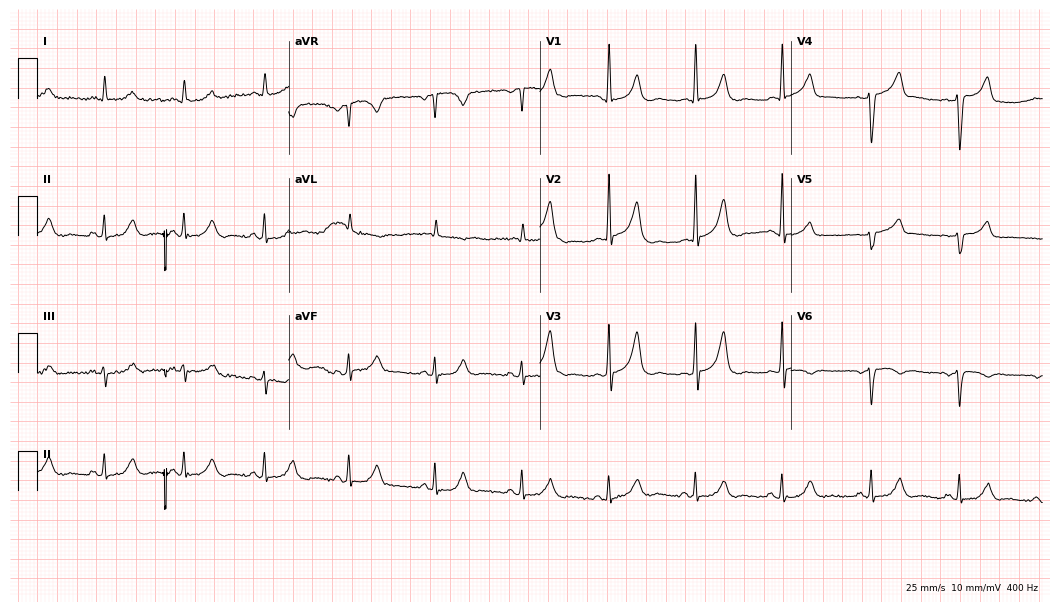
12-lead ECG from an 82-year-old male. No first-degree AV block, right bundle branch block, left bundle branch block, sinus bradycardia, atrial fibrillation or sinus tachycardia recorded for this tracing. Findings outside these six are not listed.